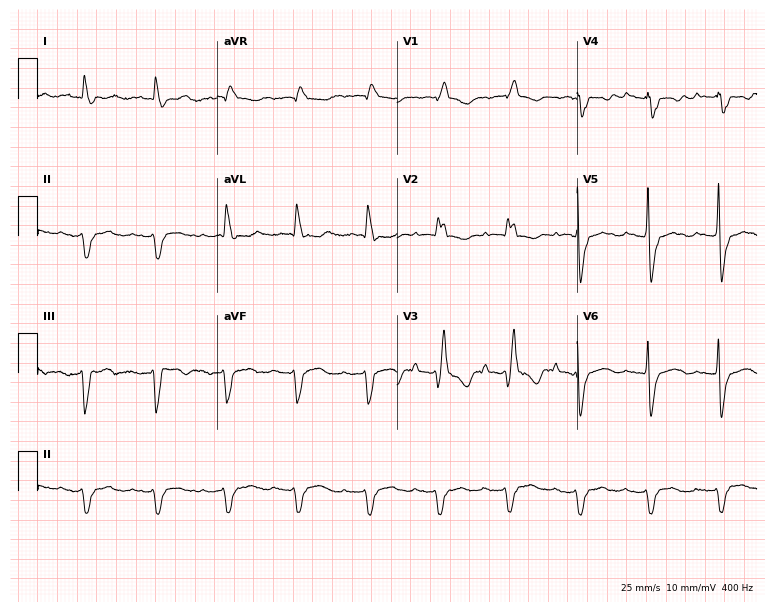
Standard 12-lead ECG recorded from a 42-year-old woman. The tracing shows right bundle branch block (RBBB).